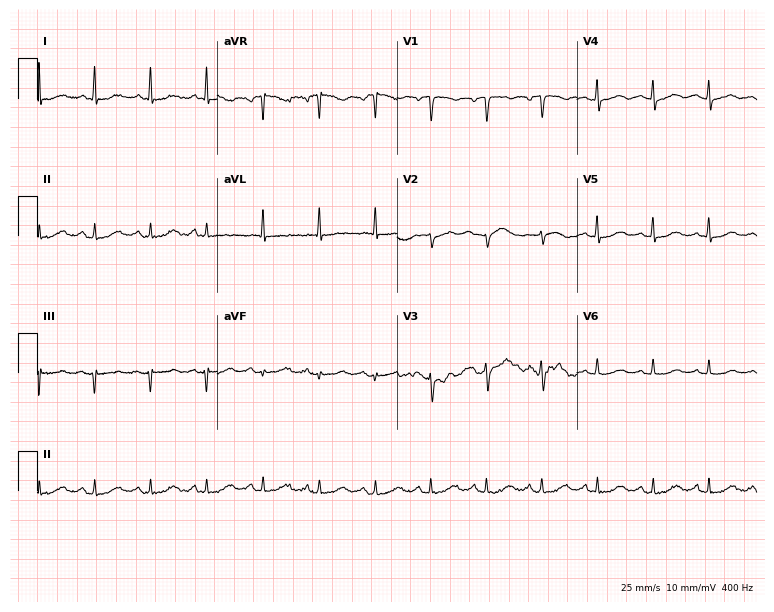
12-lead ECG from a 62-year-old woman (7.3-second recording at 400 Hz). Recorded interpretation: within normal limits.